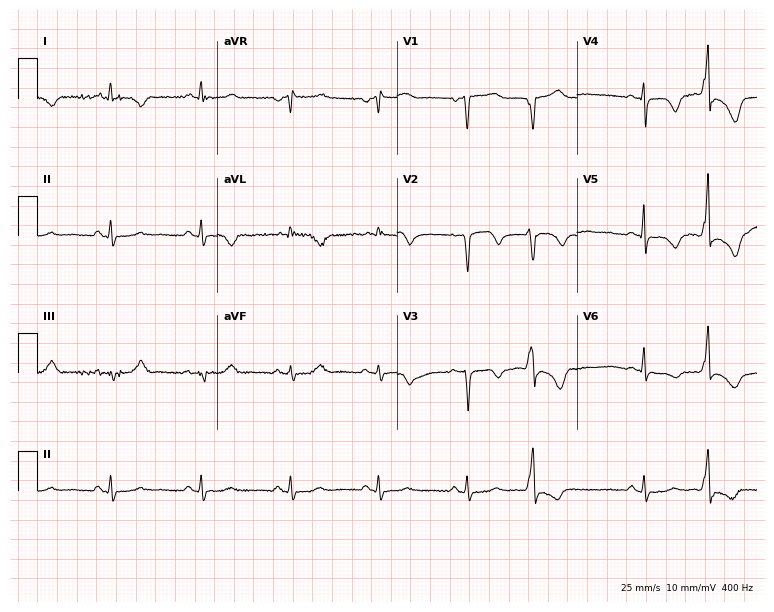
12-lead ECG from a woman, 69 years old. No first-degree AV block, right bundle branch block (RBBB), left bundle branch block (LBBB), sinus bradycardia, atrial fibrillation (AF) or sinus tachycardia recorded for this tracing. Other findings, if any, are not listed.